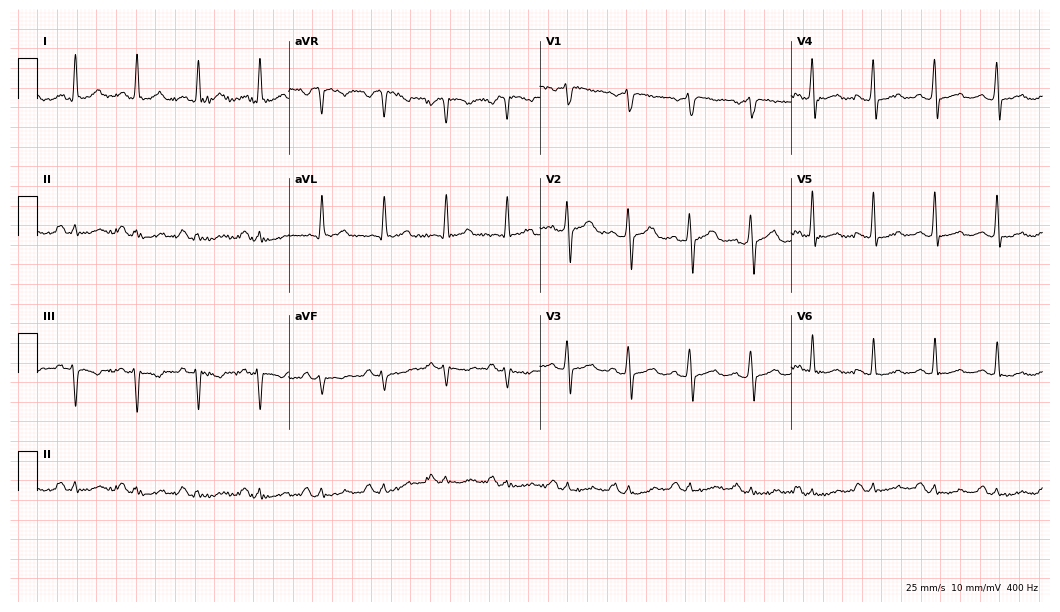
Standard 12-lead ECG recorded from a 53-year-old female (10.2-second recording at 400 Hz). None of these six findings is recorded: first-degree AV block, right bundle branch block (RBBB), left bundle branch block (LBBB), sinus bradycardia, atrial fibrillation (AF), sinus tachycardia.